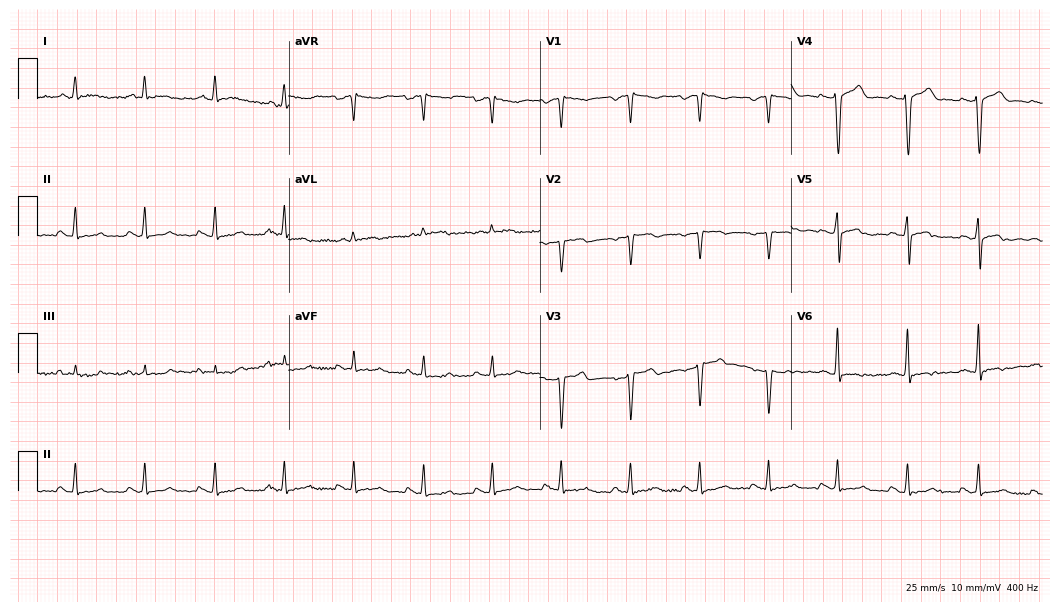
12-lead ECG from a male patient, 44 years old. No first-degree AV block, right bundle branch block (RBBB), left bundle branch block (LBBB), sinus bradycardia, atrial fibrillation (AF) or sinus tachycardia recorded for this tracing. Other findings, if any, are not listed.